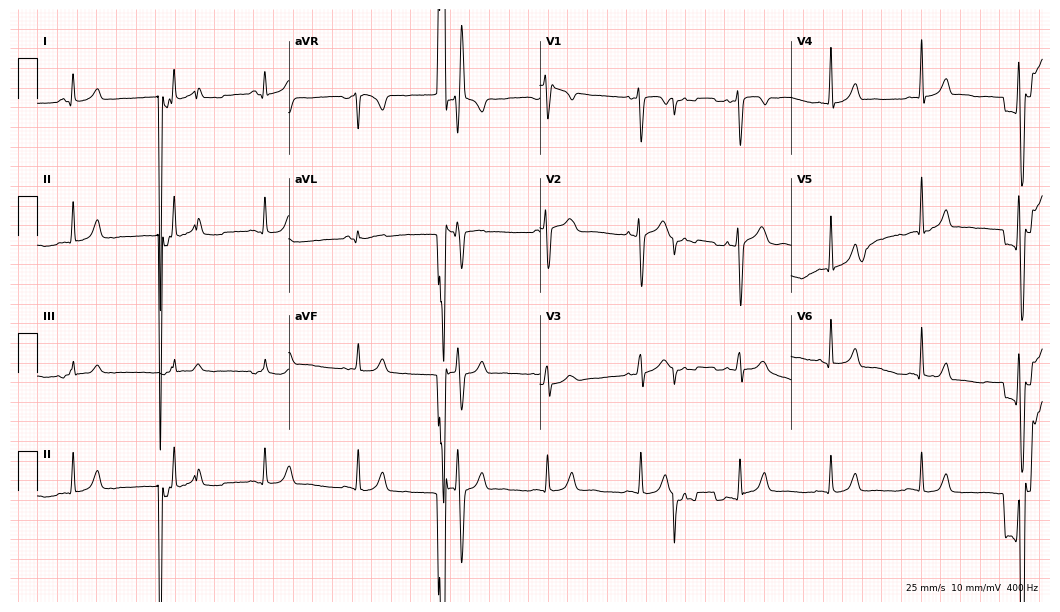
Resting 12-lead electrocardiogram. Patient: a female, 23 years old. None of these six findings is recorded: first-degree AV block, right bundle branch block (RBBB), left bundle branch block (LBBB), sinus bradycardia, atrial fibrillation (AF), sinus tachycardia.